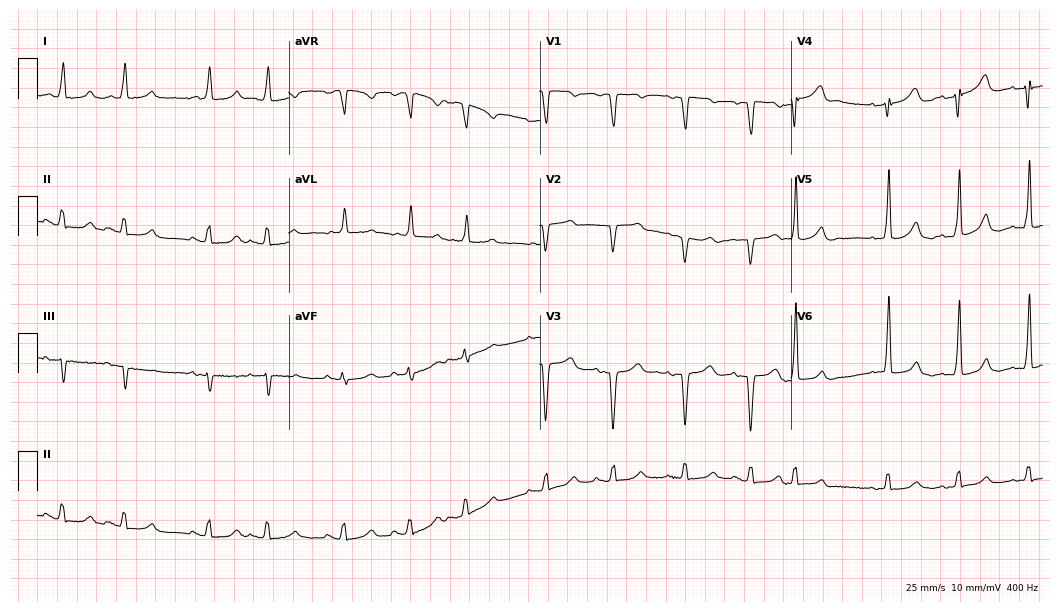
ECG (10.2-second recording at 400 Hz) — a female, 76 years old. Labelled as a normal ECG.